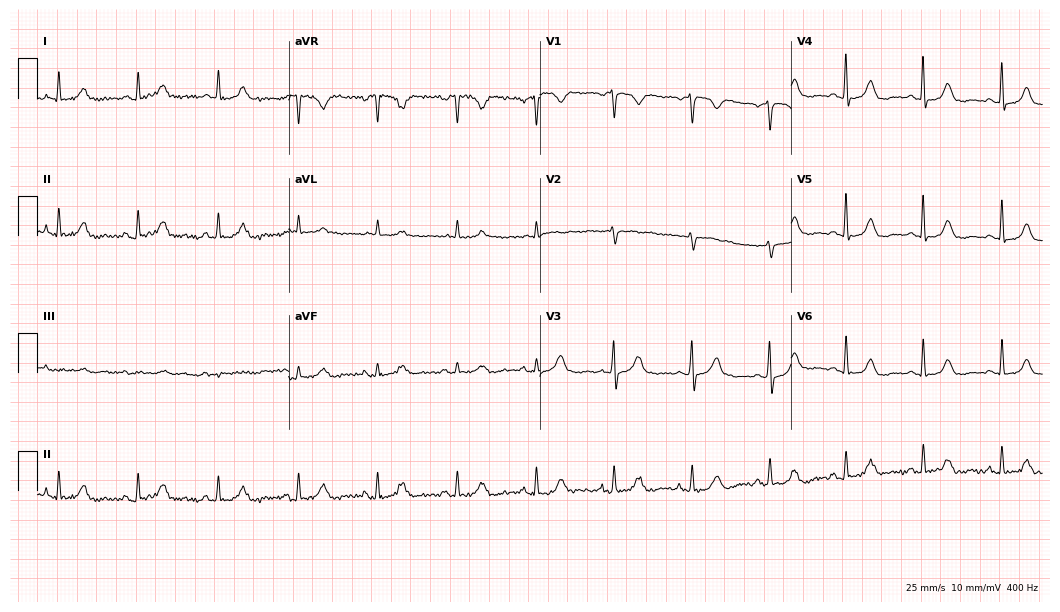
Electrocardiogram, a 64-year-old female. Overall reading on record: normal ECG.